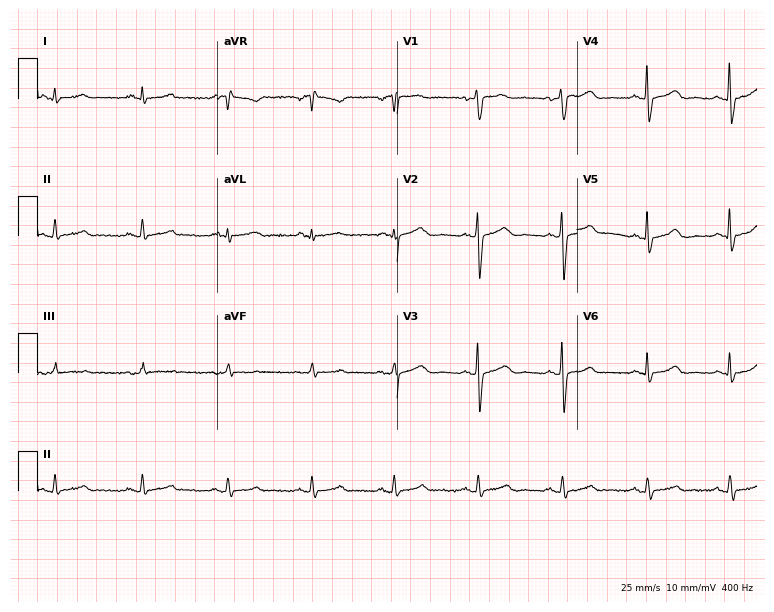
ECG — a female, 65 years old. Labelled as a normal ECG.